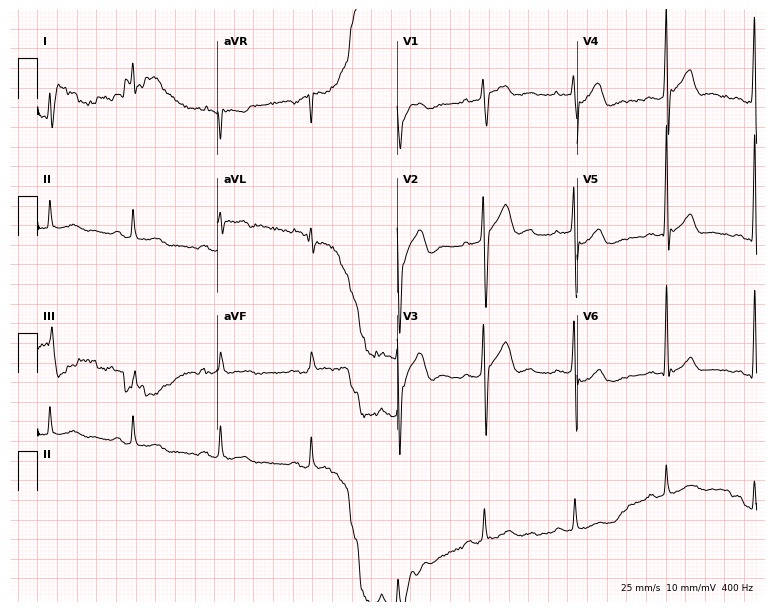
12-lead ECG from a male, 32 years old. Screened for six findings — first-degree AV block, right bundle branch block, left bundle branch block, sinus bradycardia, atrial fibrillation, sinus tachycardia — none is recorded. Only these six findings were labelled.